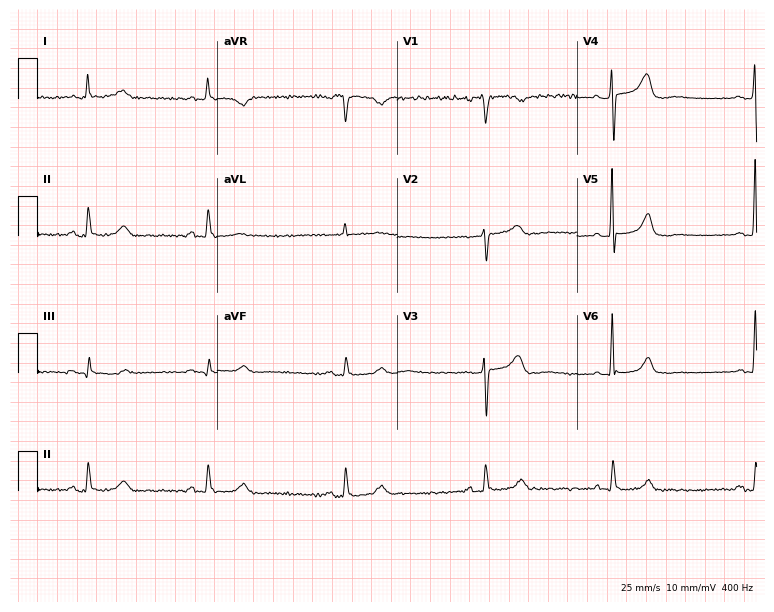
Standard 12-lead ECG recorded from a female, 75 years old (7.3-second recording at 400 Hz). The tracing shows sinus bradycardia (a sinus rate of 50 beats per minute or less).